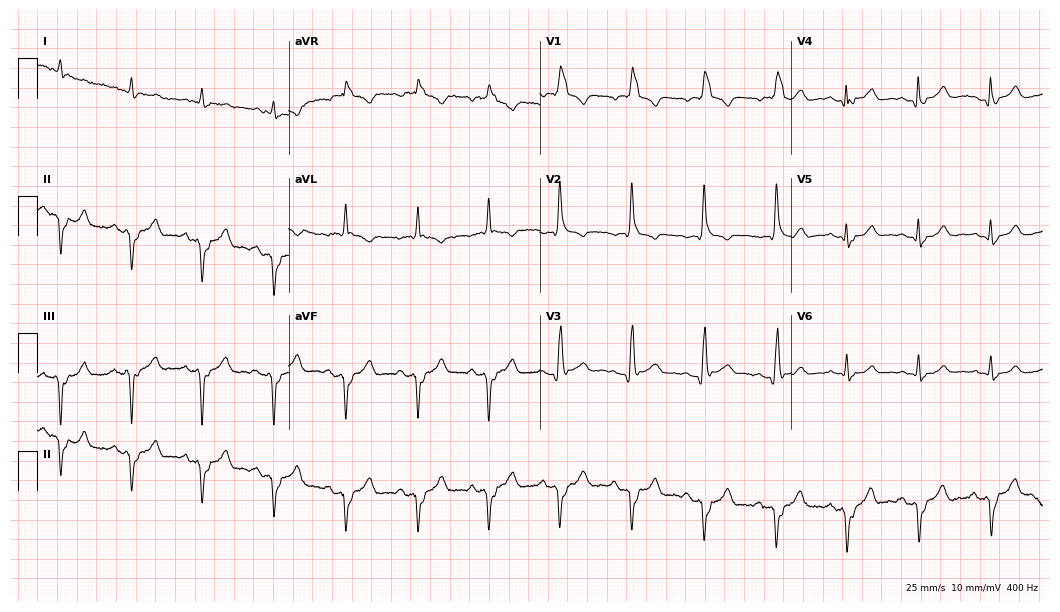
Electrocardiogram, a male patient, 73 years old. Interpretation includes right bundle branch block.